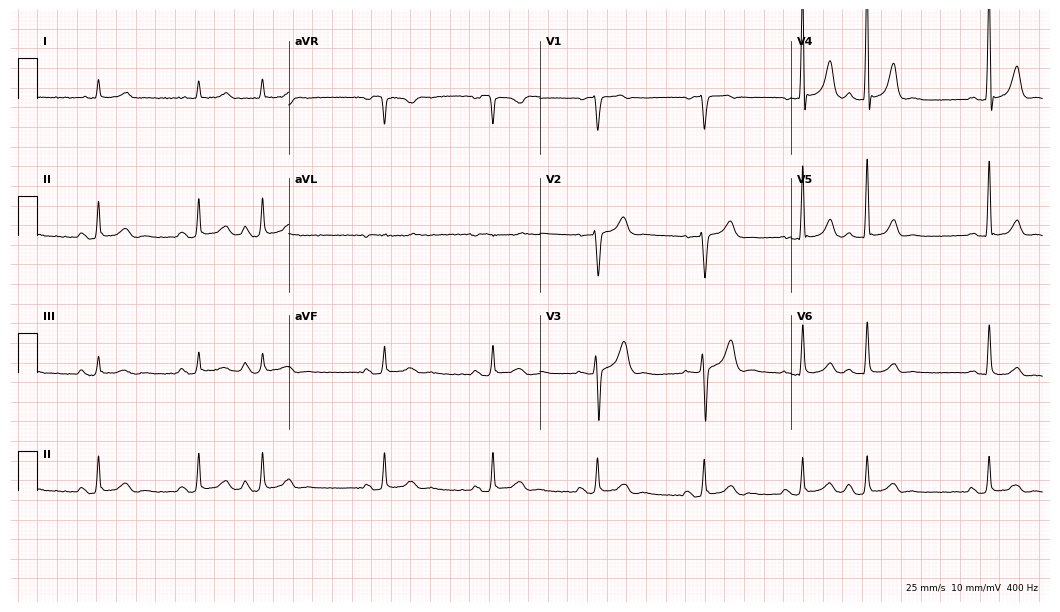
Electrocardiogram, a man, 65 years old. Of the six screened findings (first-degree AV block, right bundle branch block (RBBB), left bundle branch block (LBBB), sinus bradycardia, atrial fibrillation (AF), sinus tachycardia), none is recorded.